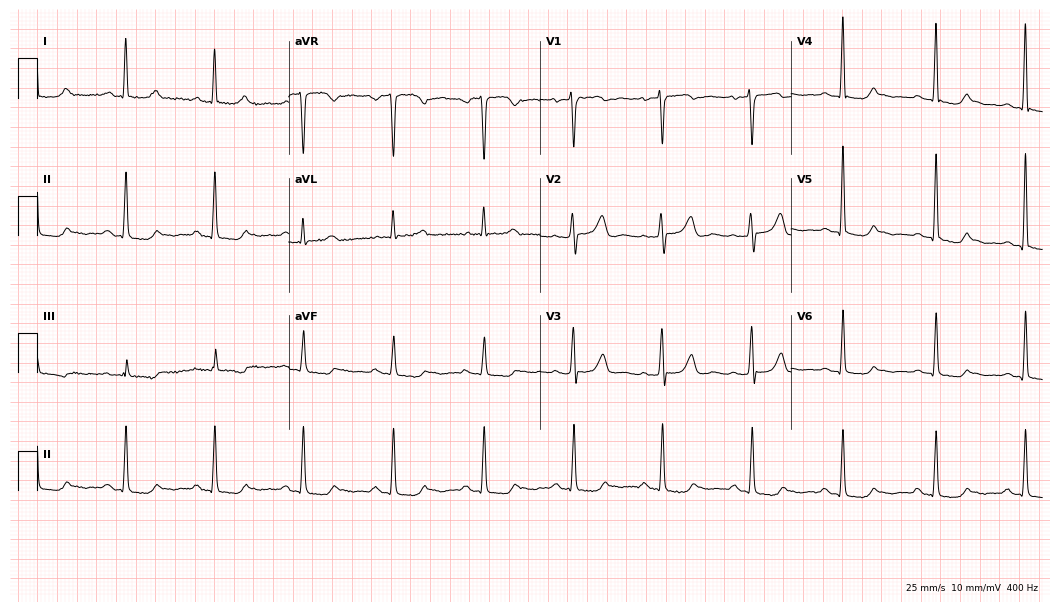
Standard 12-lead ECG recorded from a 54-year-old woman. None of these six findings is recorded: first-degree AV block, right bundle branch block (RBBB), left bundle branch block (LBBB), sinus bradycardia, atrial fibrillation (AF), sinus tachycardia.